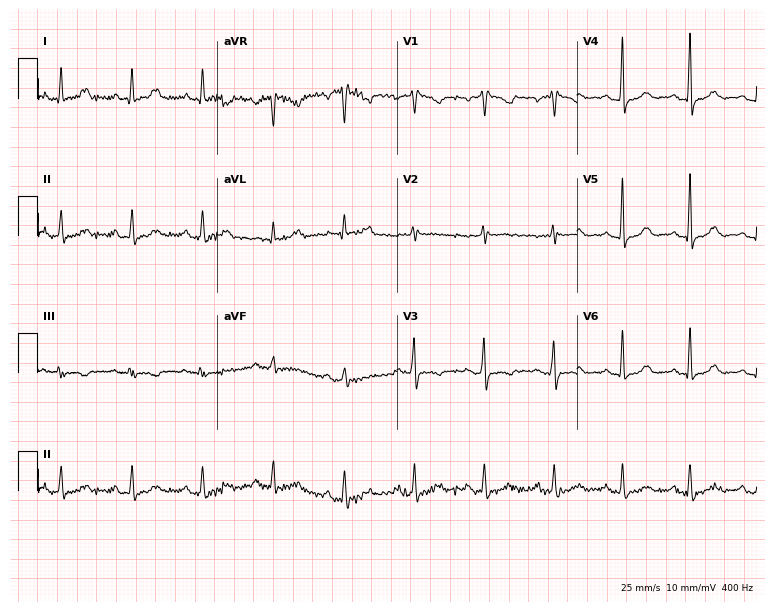
12-lead ECG from a female, 43 years old (7.3-second recording at 400 Hz). No first-degree AV block, right bundle branch block, left bundle branch block, sinus bradycardia, atrial fibrillation or sinus tachycardia recorded for this tracing.